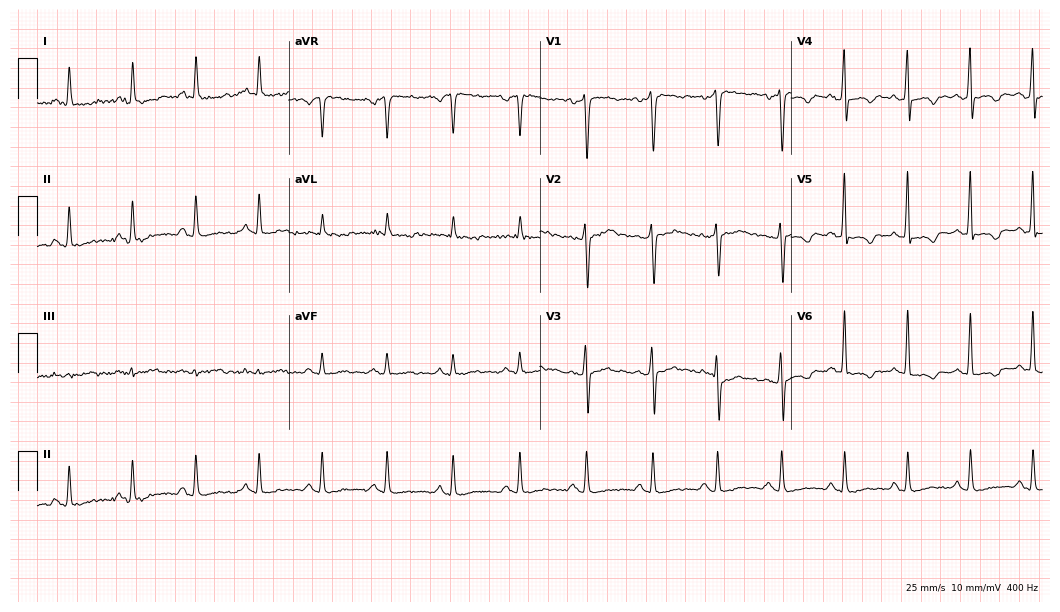
Standard 12-lead ECG recorded from a 38-year-old man. None of these six findings is recorded: first-degree AV block, right bundle branch block, left bundle branch block, sinus bradycardia, atrial fibrillation, sinus tachycardia.